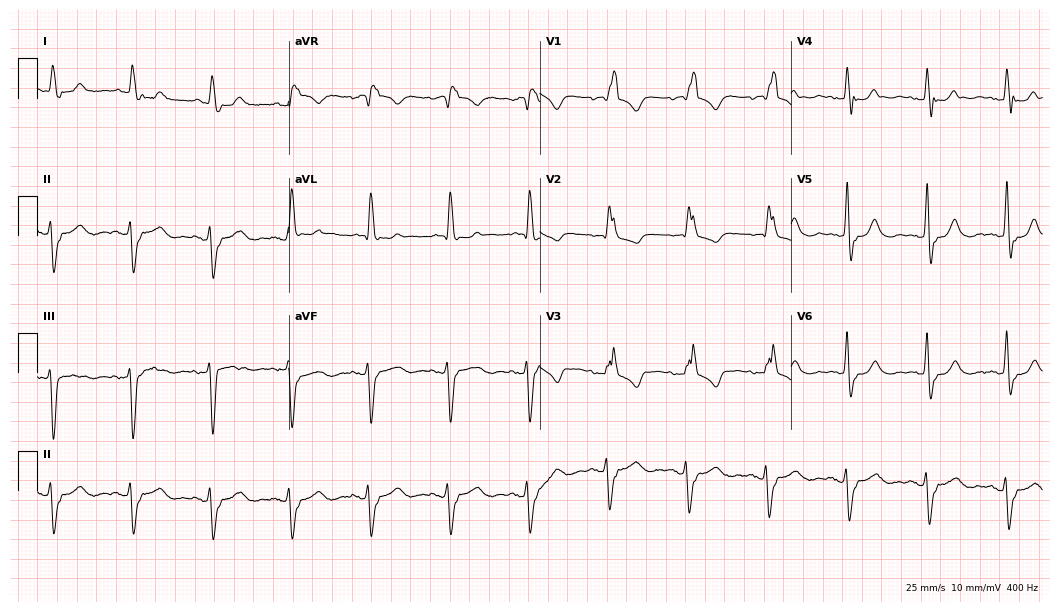
12-lead ECG from a 77-year-old female. Findings include right bundle branch block.